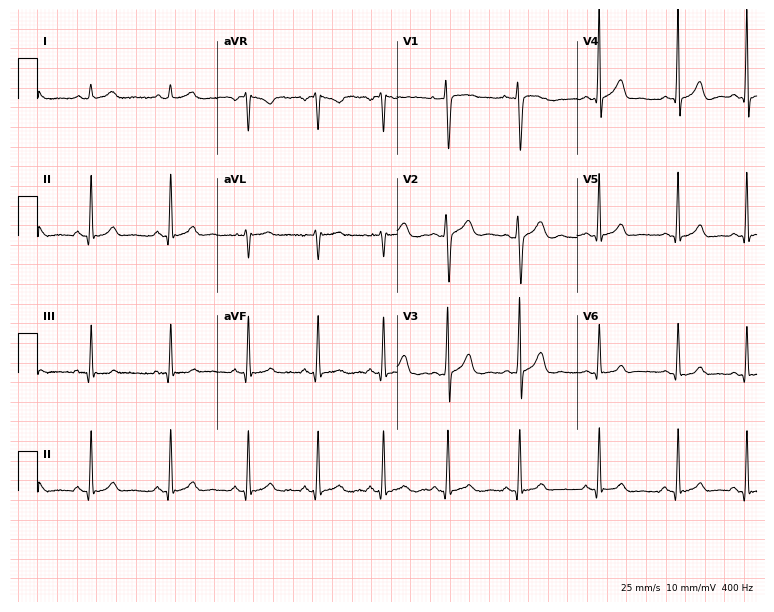
Standard 12-lead ECG recorded from a 21-year-old female patient (7.3-second recording at 400 Hz). None of these six findings is recorded: first-degree AV block, right bundle branch block (RBBB), left bundle branch block (LBBB), sinus bradycardia, atrial fibrillation (AF), sinus tachycardia. Other findings, if any, are not listed.